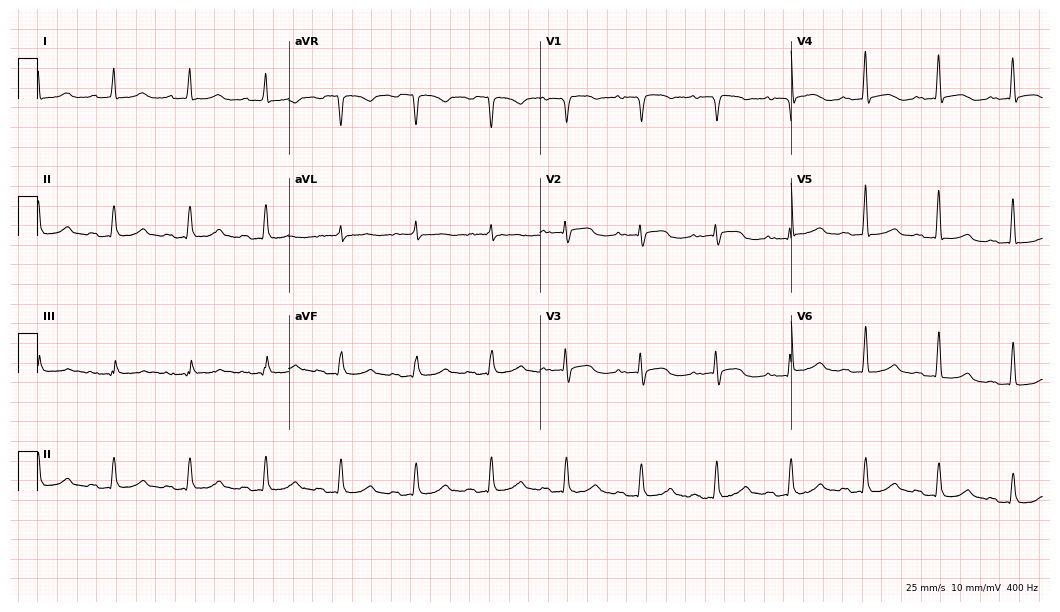
ECG (10.2-second recording at 400 Hz) — a female patient, 81 years old. Screened for six findings — first-degree AV block, right bundle branch block, left bundle branch block, sinus bradycardia, atrial fibrillation, sinus tachycardia — none is recorded.